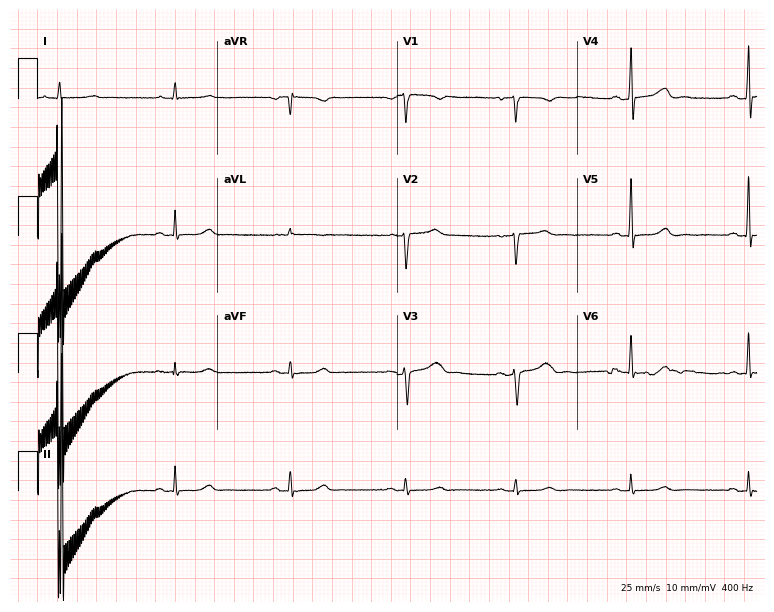
12-lead ECG from a 61-year-old woman. Screened for six findings — first-degree AV block, right bundle branch block, left bundle branch block, sinus bradycardia, atrial fibrillation, sinus tachycardia — none is recorded.